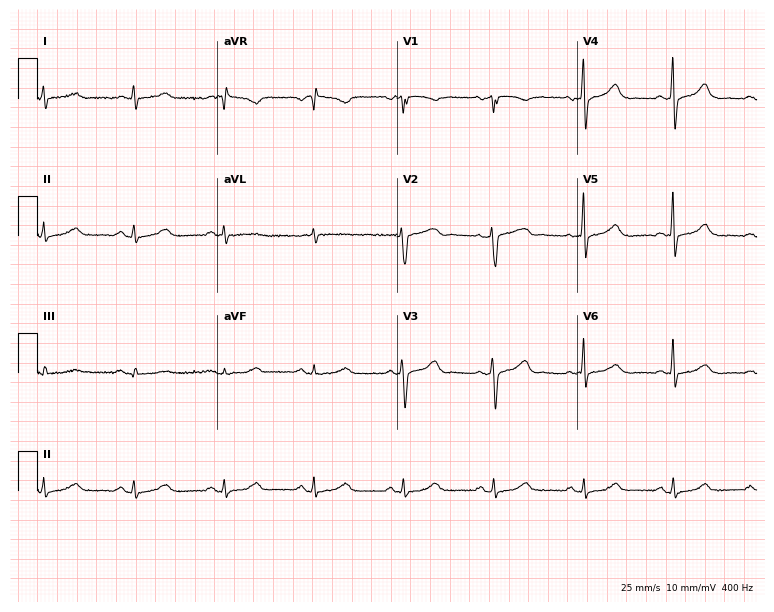
12-lead ECG from a woman, 69 years old. Labelled as a normal ECG.